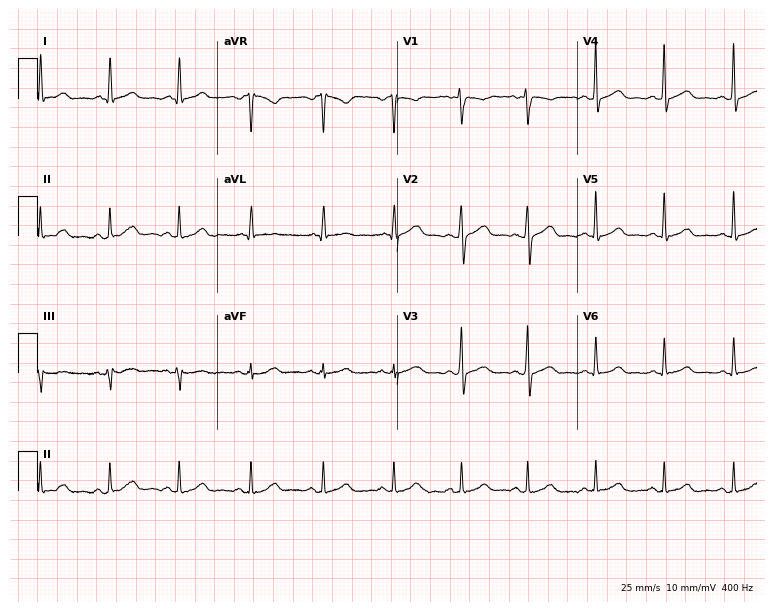
12-lead ECG from a 34-year-old female (7.3-second recording at 400 Hz). Recorded interpretation: within normal limits.